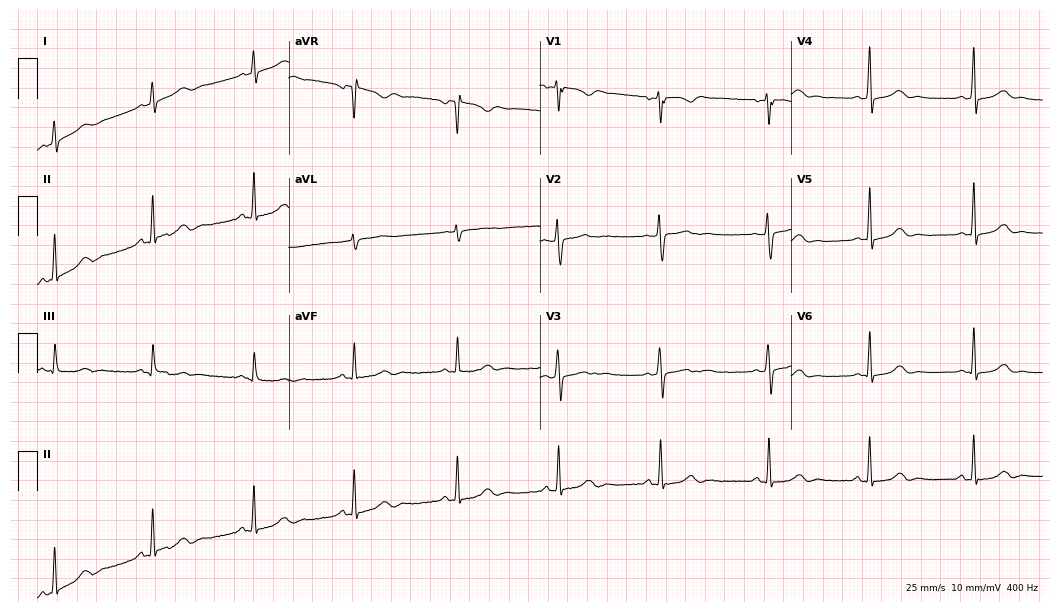
12-lead ECG from a 23-year-old female (10.2-second recording at 400 Hz). Recorded interpretation: within normal limits.